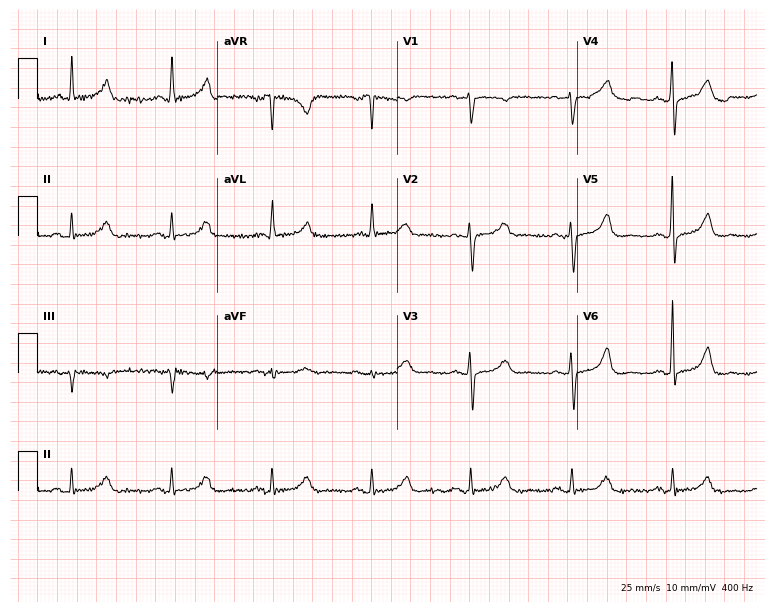
Resting 12-lead electrocardiogram (7.3-second recording at 400 Hz). Patient: a 71-year-old female. Read as a normal ECG.